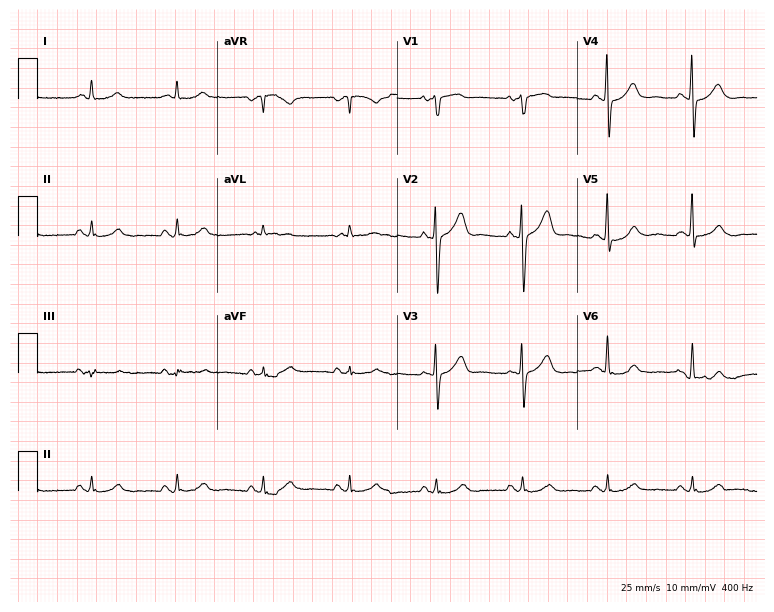
12-lead ECG from a male patient, 80 years old. Labelled as a normal ECG.